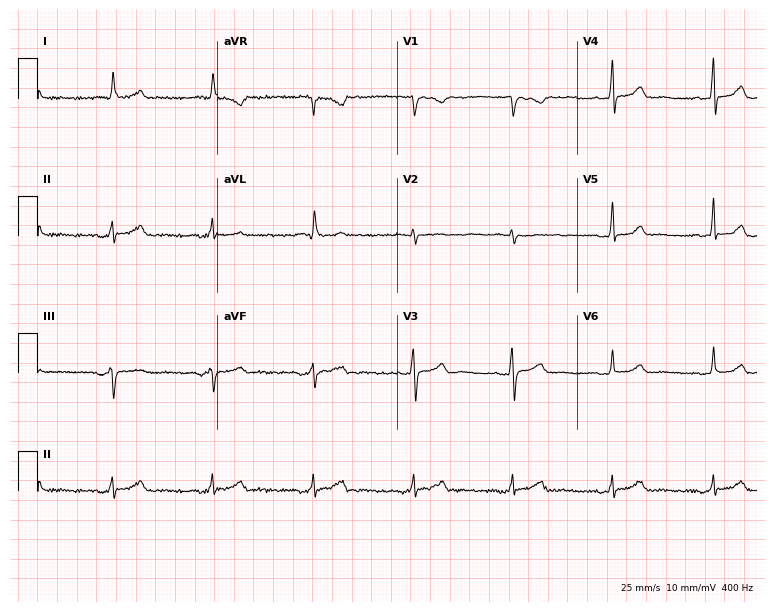
Resting 12-lead electrocardiogram. Patient: a female, 68 years old. Read as a normal ECG.